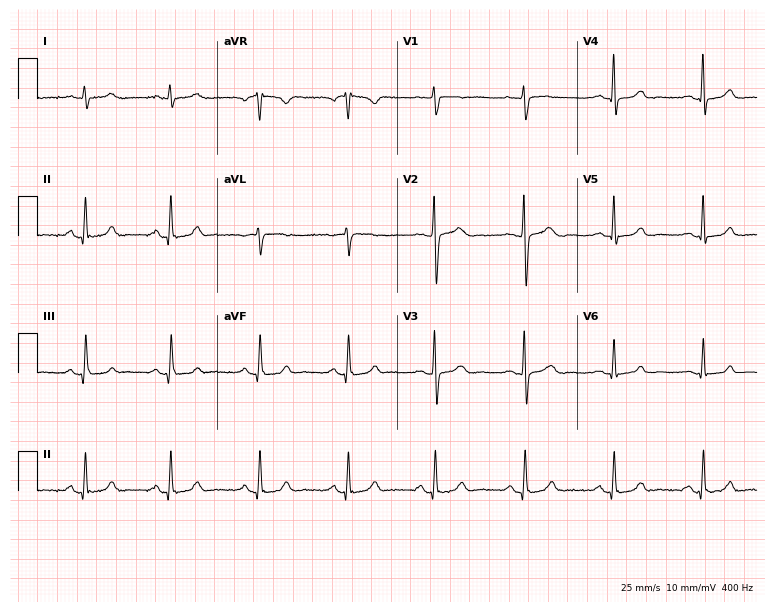
12-lead ECG from a 43-year-old female patient. Recorded interpretation: within normal limits.